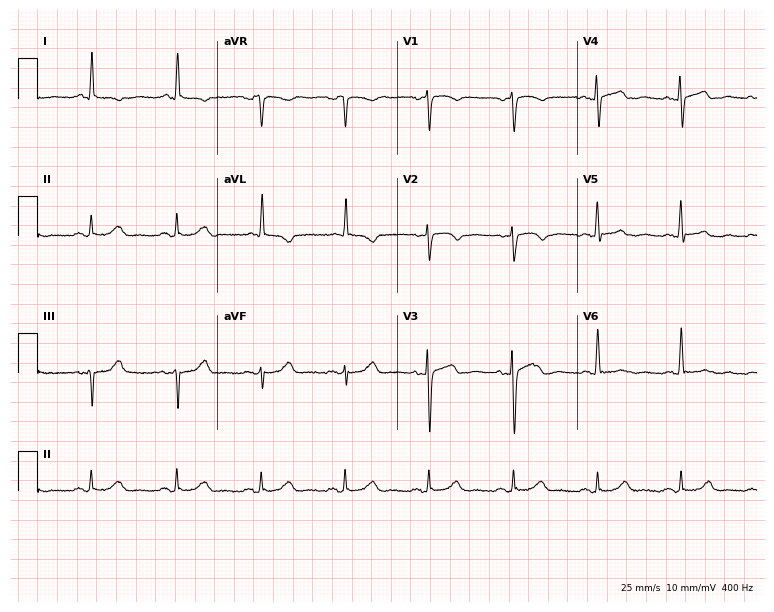
ECG (7.3-second recording at 400 Hz) — a male patient, 72 years old. Screened for six findings — first-degree AV block, right bundle branch block (RBBB), left bundle branch block (LBBB), sinus bradycardia, atrial fibrillation (AF), sinus tachycardia — none is recorded. Other findings, if any, are not listed.